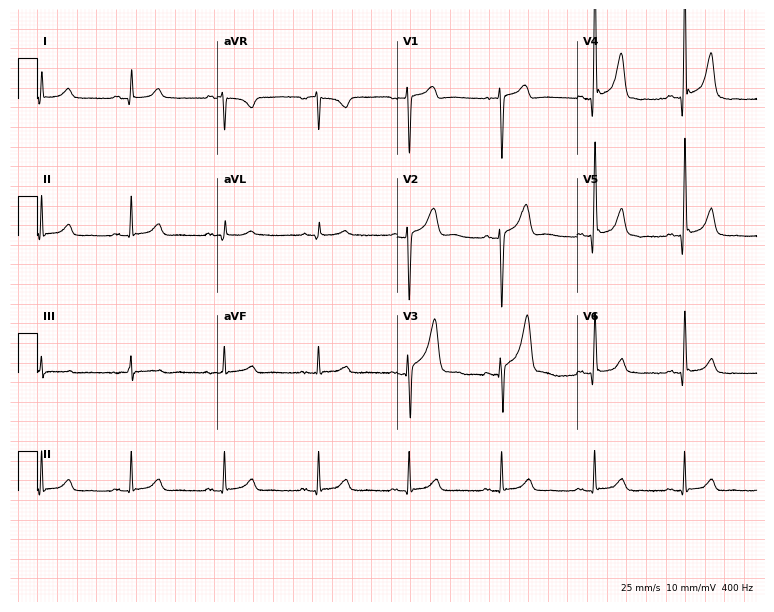
ECG — a 51-year-old man. Labelled as a normal ECG.